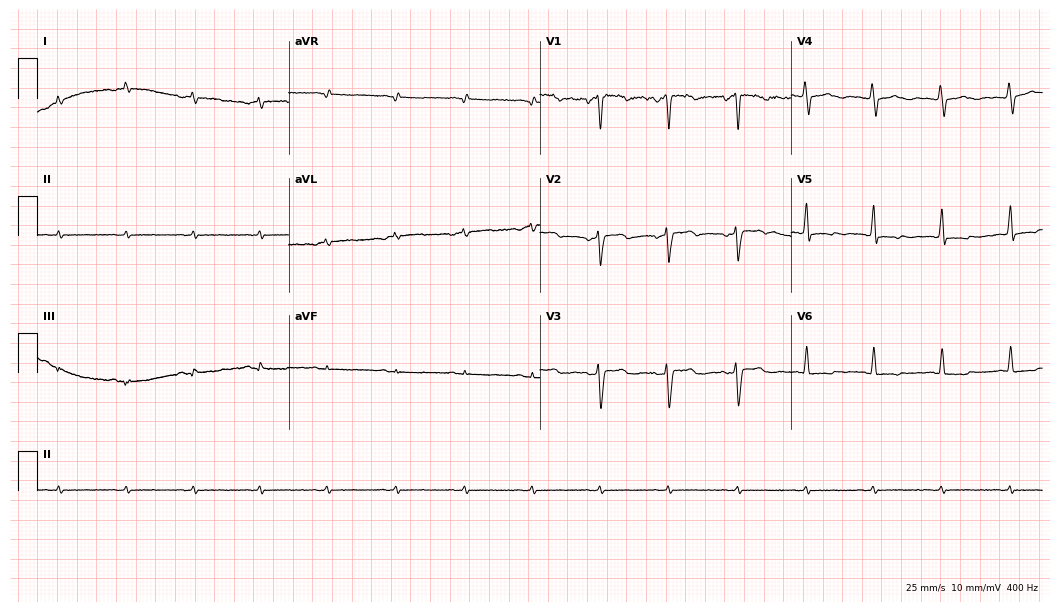
Electrocardiogram, a 65-year-old woman. Of the six screened findings (first-degree AV block, right bundle branch block (RBBB), left bundle branch block (LBBB), sinus bradycardia, atrial fibrillation (AF), sinus tachycardia), none is recorded.